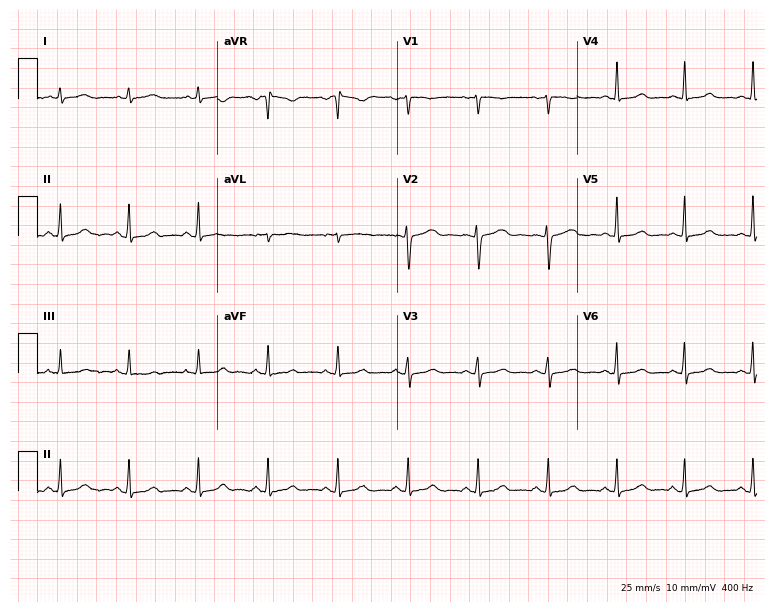
Standard 12-lead ECG recorded from a 38-year-old female. Read as a normal ECG.